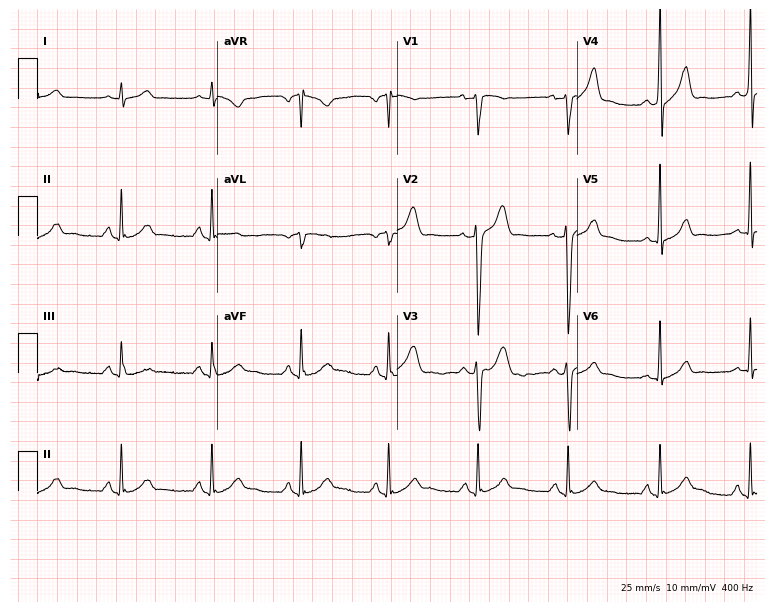
Resting 12-lead electrocardiogram (7.3-second recording at 400 Hz). Patient: a male, 55 years old. None of these six findings is recorded: first-degree AV block, right bundle branch block (RBBB), left bundle branch block (LBBB), sinus bradycardia, atrial fibrillation (AF), sinus tachycardia.